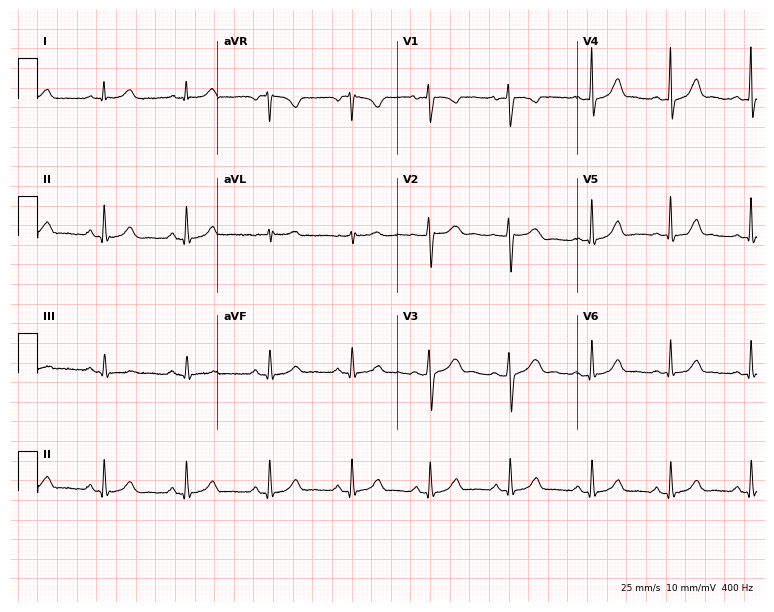
ECG (7.3-second recording at 400 Hz) — a 25-year-old woman. Labelled as a normal ECG.